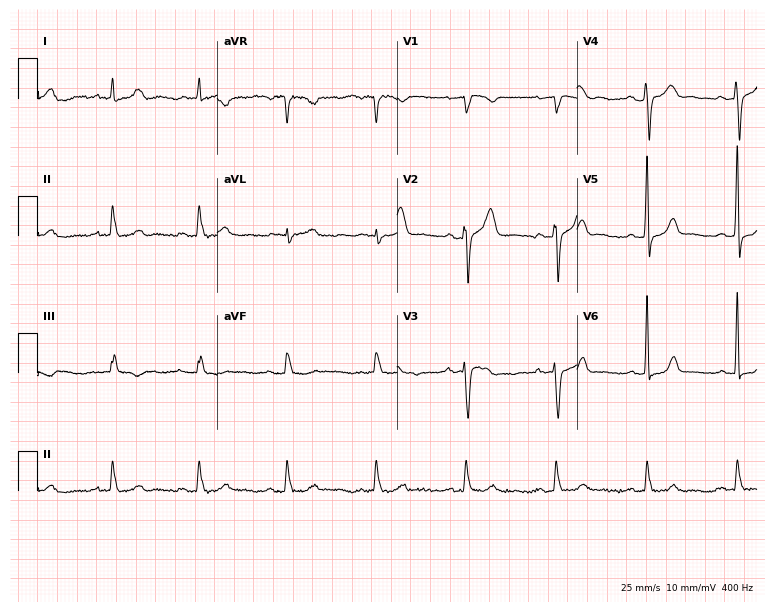
ECG — a 59-year-old female. Screened for six findings — first-degree AV block, right bundle branch block, left bundle branch block, sinus bradycardia, atrial fibrillation, sinus tachycardia — none is recorded.